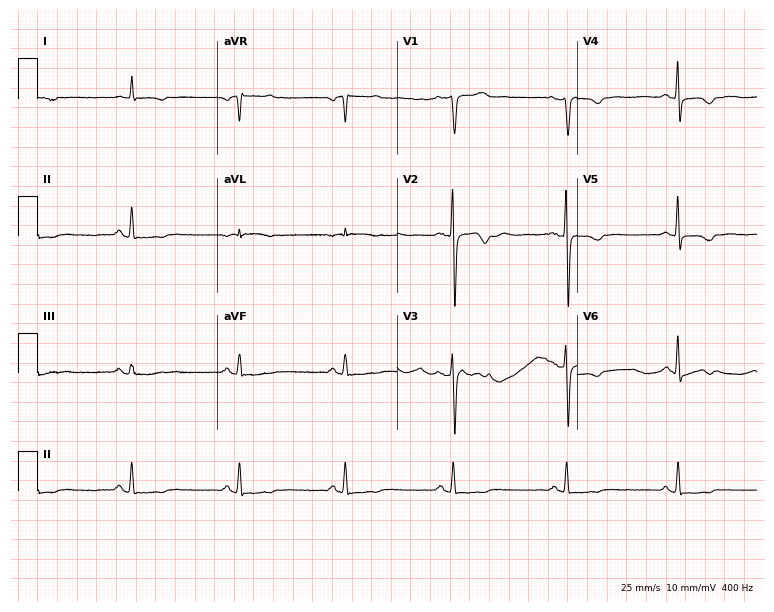
Standard 12-lead ECG recorded from a 70-year-old female (7.3-second recording at 400 Hz). None of these six findings is recorded: first-degree AV block, right bundle branch block, left bundle branch block, sinus bradycardia, atrial fibrillation, sinus tachycardia. Other findings, if any, are not listed.